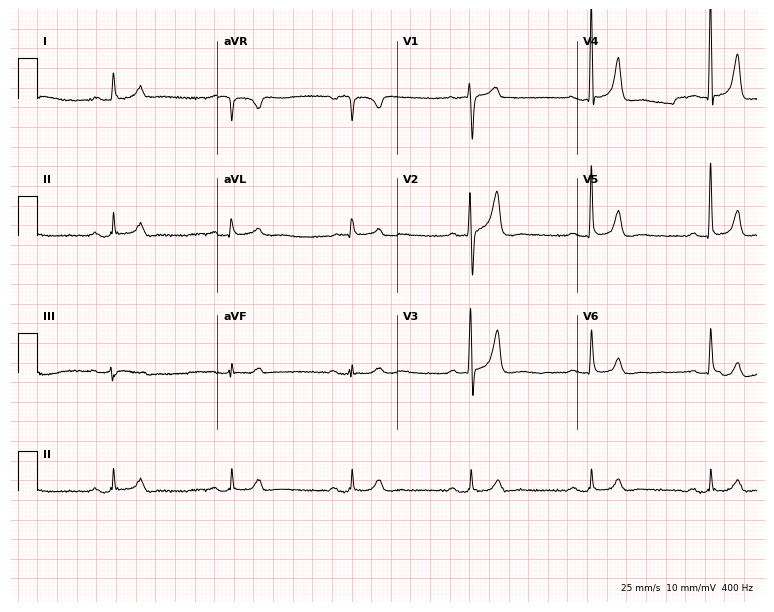
12-lead ECG from a male, 82 years old (7.3-second recording at 400 Hz). Shows sinus bradycardia (a sinus rate of 50 beats per minute or less).